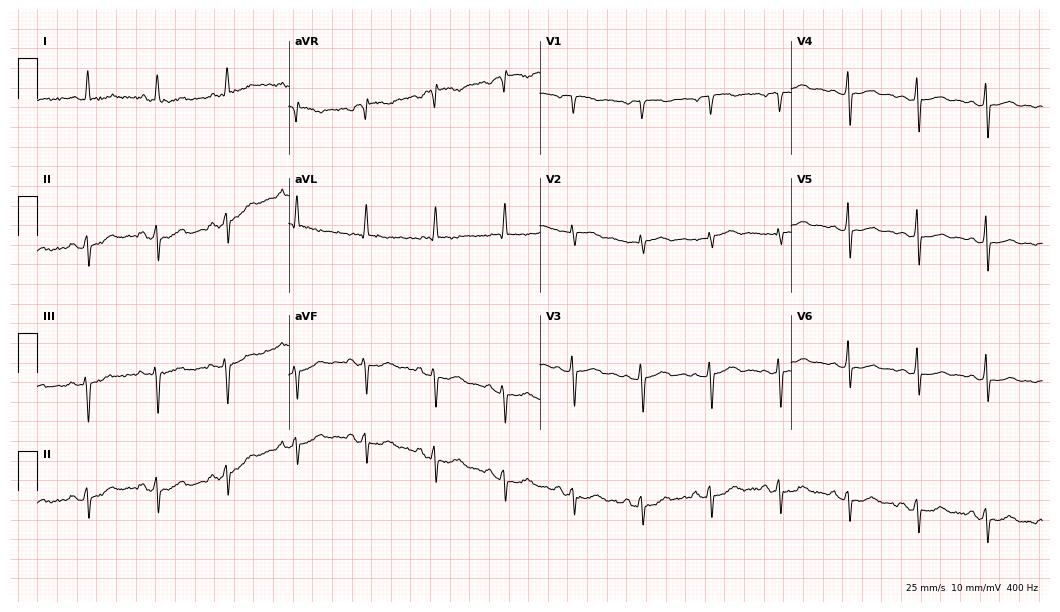
Resting 12-lead electrocardiogram (10.2-second recording at 400 Hz). Patient: a 76-year-old man. None of these six findings is recorded: first-degree AV block, right bundle branch block (RBBB), left bundle branch block (LBBB), sinus bradycardia, atrial fibrillation (AF), sinus tachycardia.